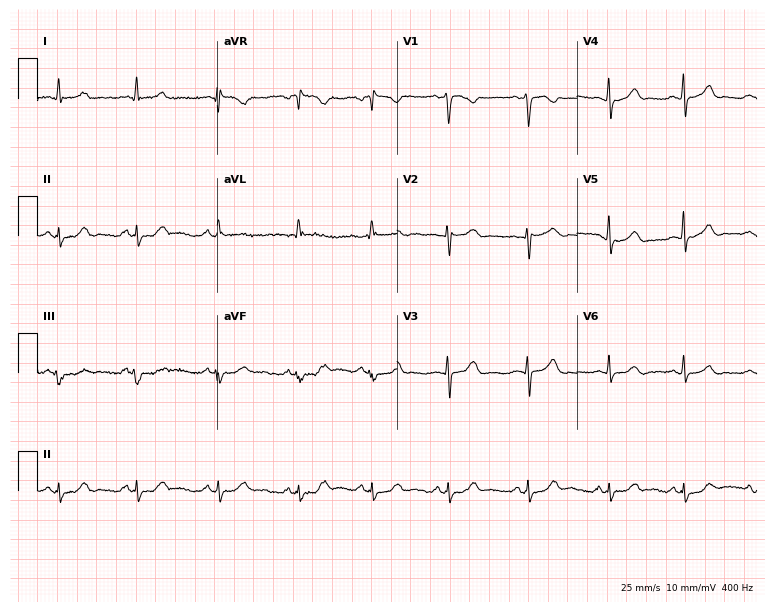
Electrocardiogram, a 25-year-old woman. Overall reading on record: normal ECG.